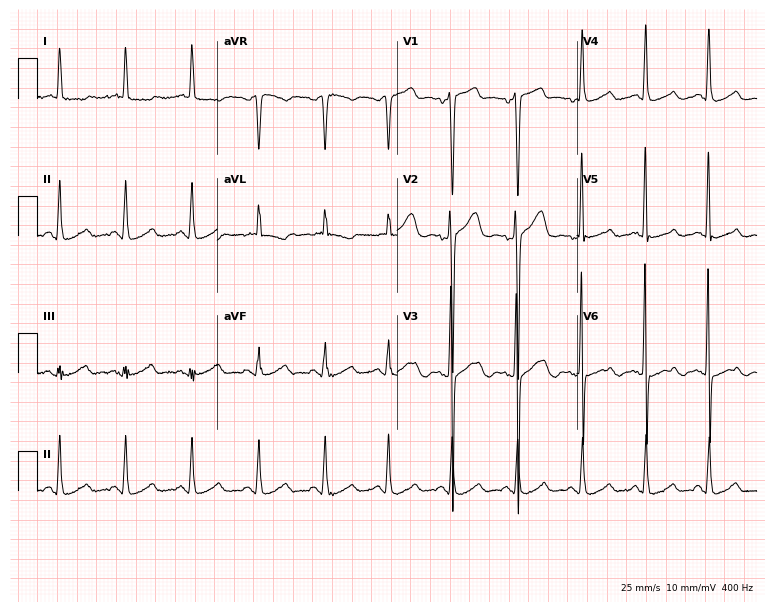
12-lead ECG from a 74-year-old male patient (7.3-second recording at 400 Hz). No first-degree AV block, right bundle branch block, left bundle branch block, sinus bradycardia, atrial fibrillation or sinus tachycardia recorded for this tracing. Other findings, if any, are not listed.